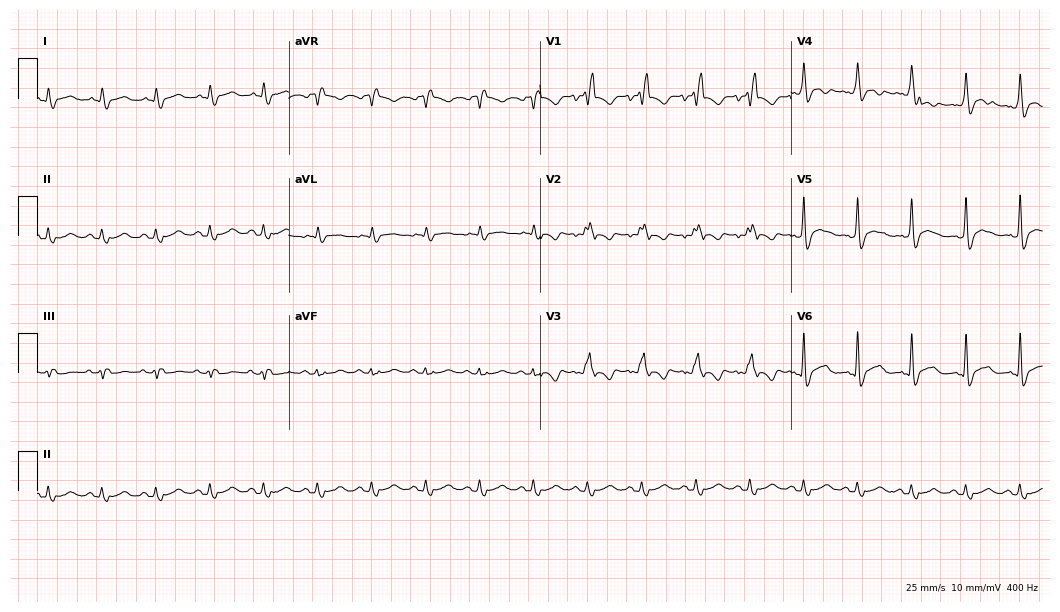
ECG — a 53-year-old male. Findings include right bundle branch block (RBBB), sinus tachycardia (a sinus rate of 100 beats per minute or more).